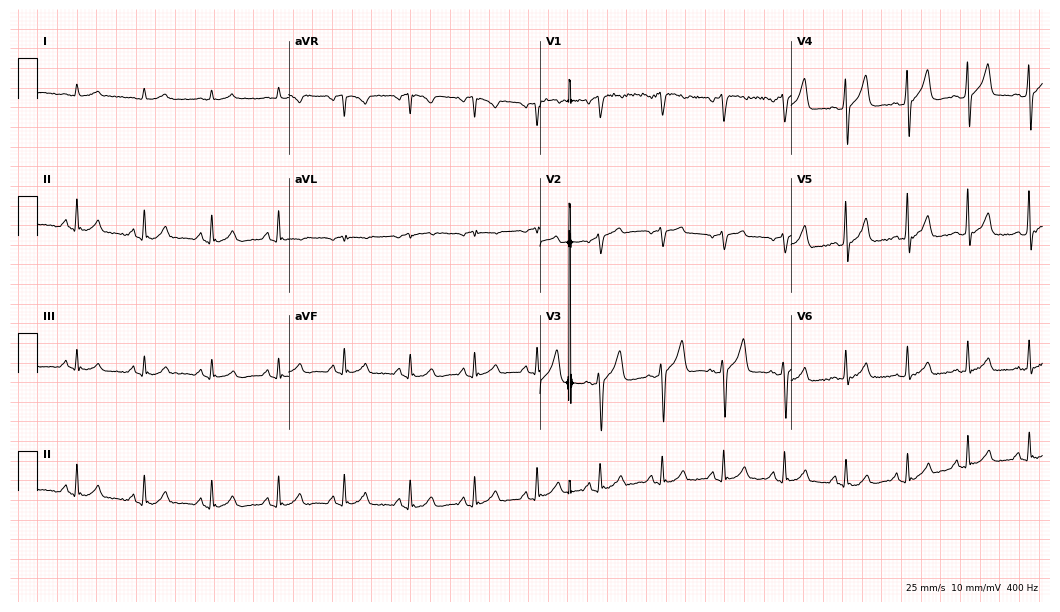
Resting 12-lead electrocardiogram. Patient: a 40-year-old male. None of these six findings is recorded: first-degree AV block, right bundle branch block, left bundle branch block, sinus bradycardia, atrial fibrillation, sinus tachycardia.